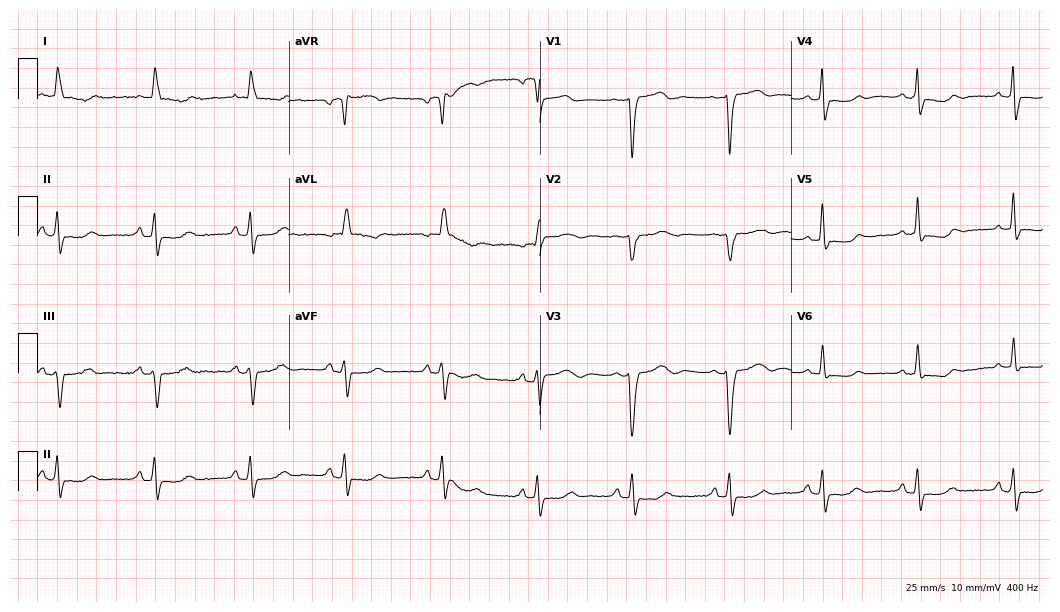
Resting 12-lead electrocardiogram (10.2-second recording at 400 Hz). Patient: a woman, 84 years old. None of these six findings is recorded: first-degree AV block, right bundle branch block (RBBB), left bundle branch block (LBBB), sinus bradycardia, atrial fibrillation (AF), sinus tachycardia. Other findings, if any, are not listed.